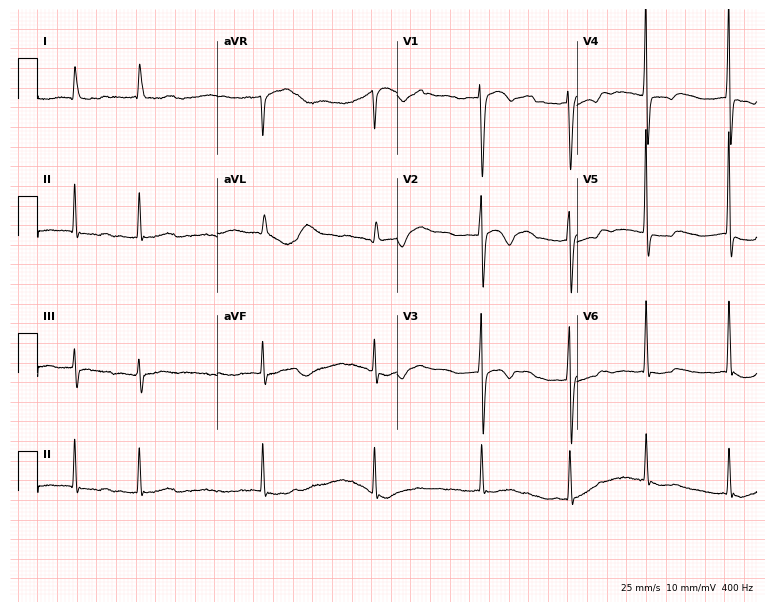
12-lead ECG from a 77-year-old female patient (7.3-second recording at 400 Hz). Shows atrial fibrillation (AF).